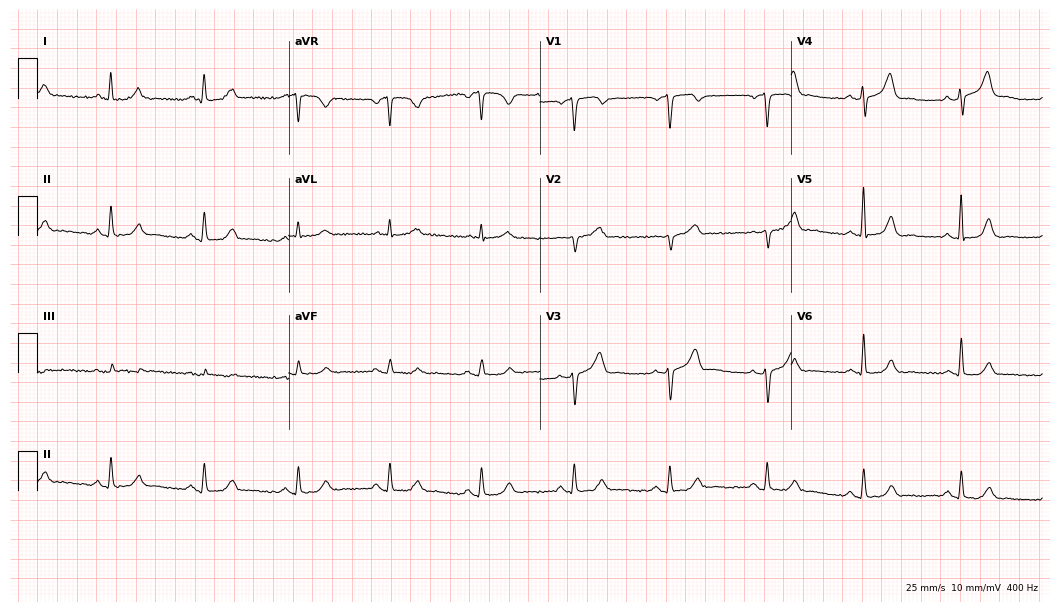
12-lead ECG from a 75-year-old man. Recorded interpretation: within normal limits.